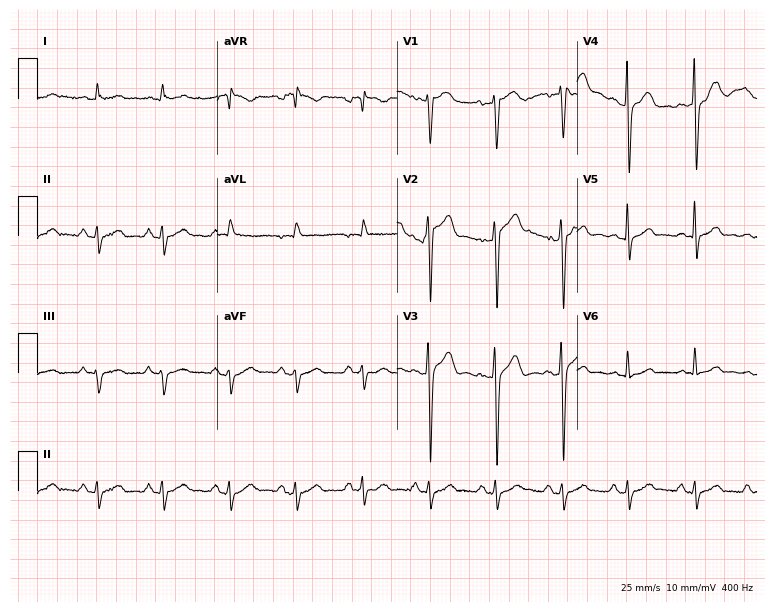
Standard 12-lead ECG recorded from a male, 40 years old. None of these six findings is recorded: first-degree AV block, right bundle branch block, left bundle branch block, sinus bradycardia, atrial fibrillation, sinus tachycardia.